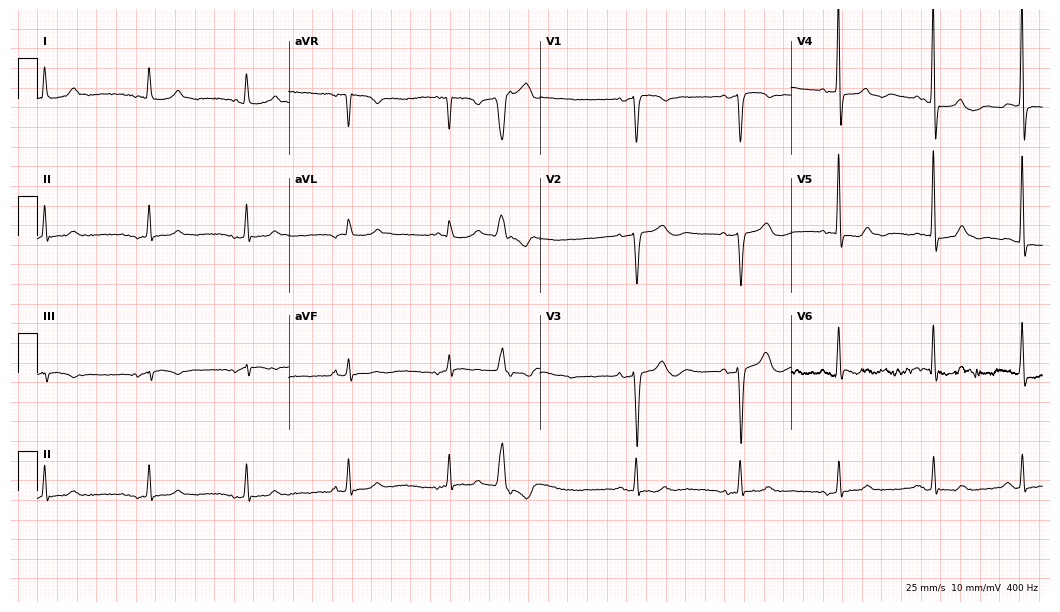
Resting 12-lead electrocardiogram (10.2-second recording at 400 Hz). Patient: a male, 82 years old. None of these six findings is recorded: first-degree AV block, right bundle branch block (RBBB), left bundle branch block (LBBB), sinus bradycardia, atrial fibrillation (AF), sinus tachycardia. Only these six findings were labelled.